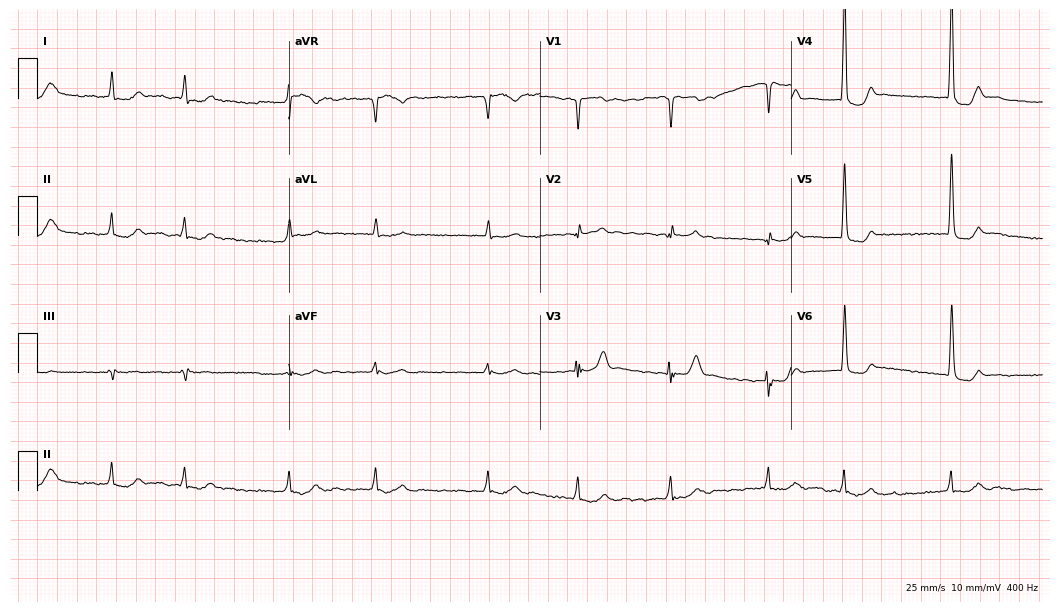
Standard 12-lead ECG recorded from a man, 82 years old. The tracing shows atrial fibrillation (AF).